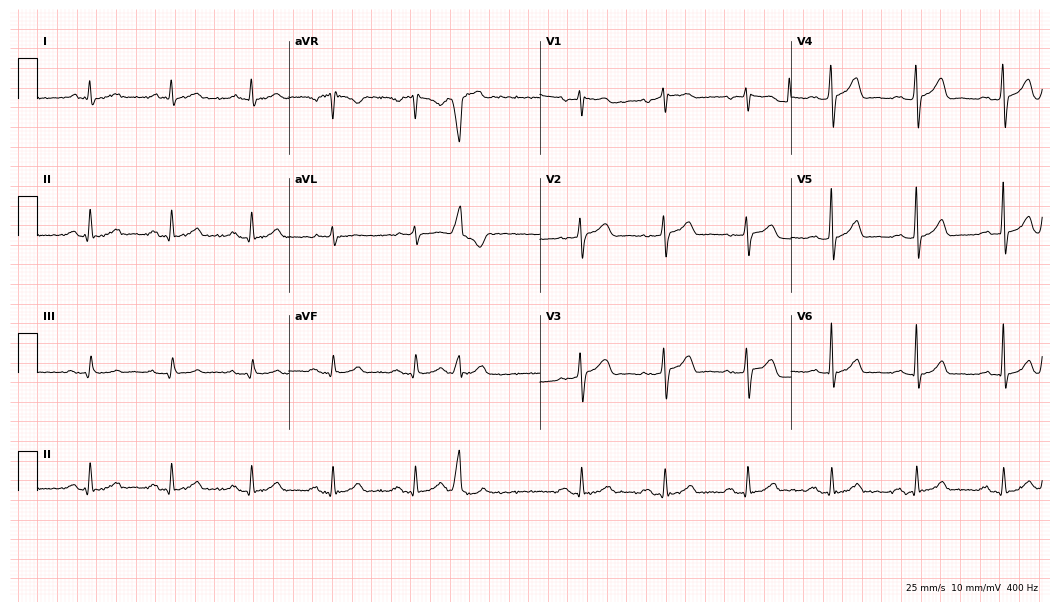
12-lead ECG from a 76-year-old male patient. Screened for six findings — first-degree AV block, right bundle branch block (RBBB), left bundle branch block (LBBB), sinus bradycardia, atrial fibrillation (AF), sinus tachycardia — none is recorded.